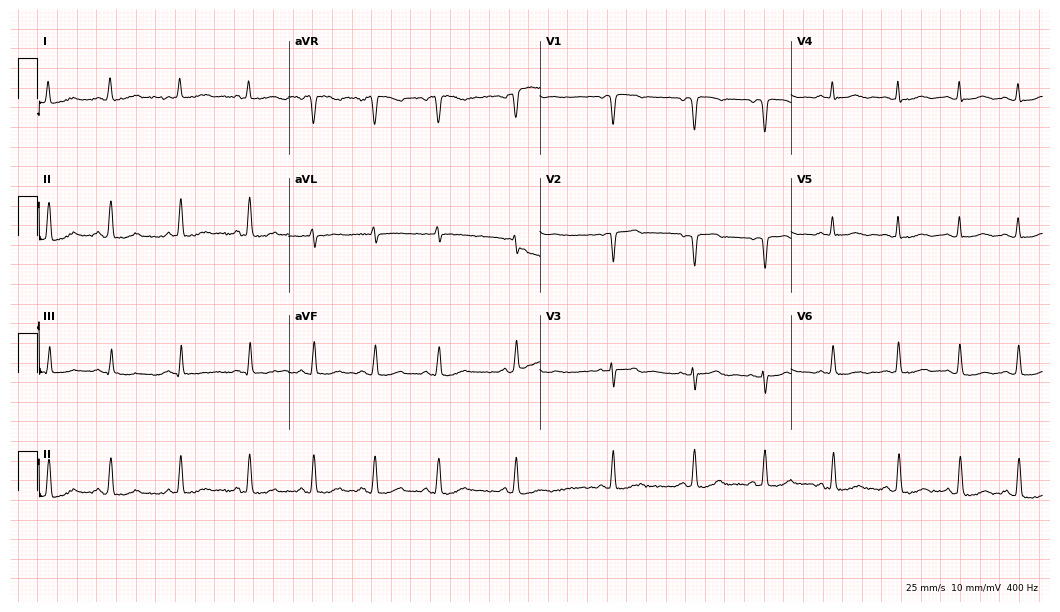
ECG — a woman, 77 years old. Screened for six findings — first-degree AV block, right bundle branch block, left bundle branch block, sinus bradycardia, atrial fibrillation, sinus tachycardia — none is recorded.